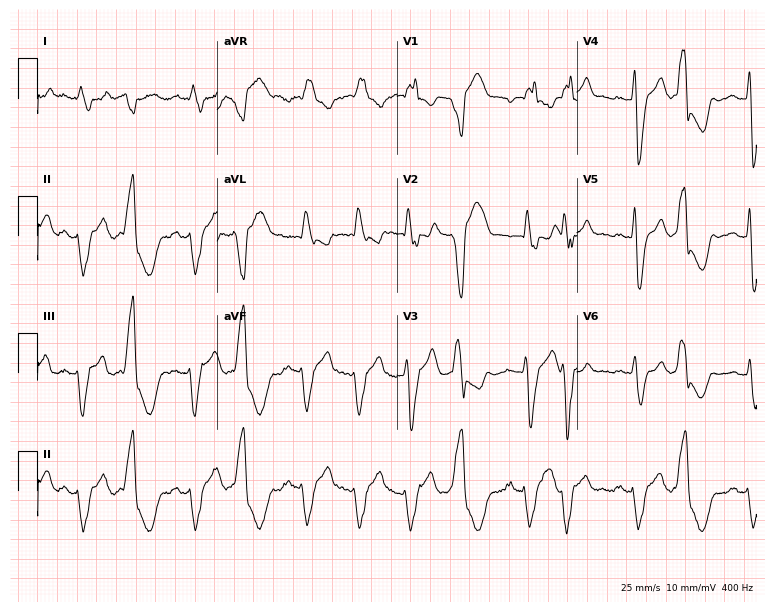
Electrocardiogram, a male patient, 67 years old. Interpretation includes right bundle branch block.